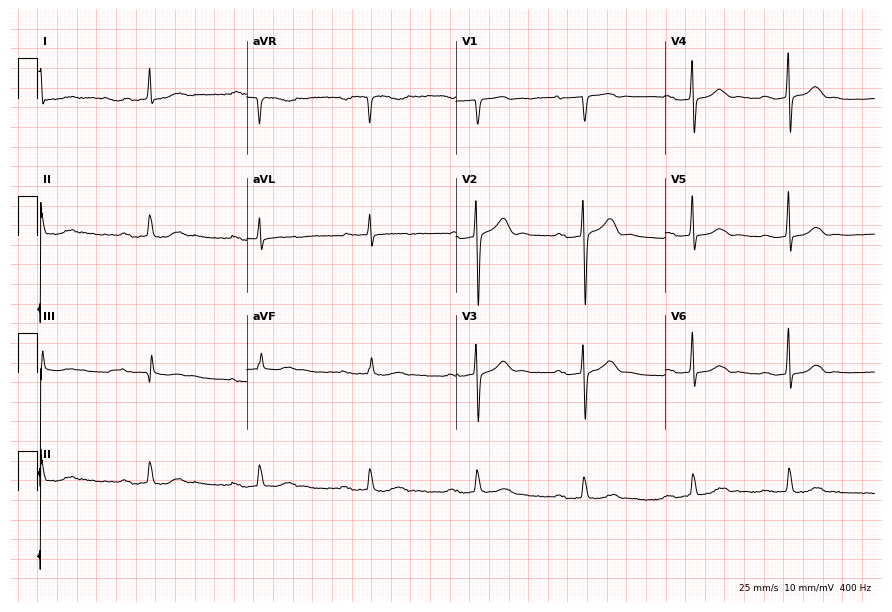
12-lead ECG from an 80-year-old male. Shows first-degree AV block.